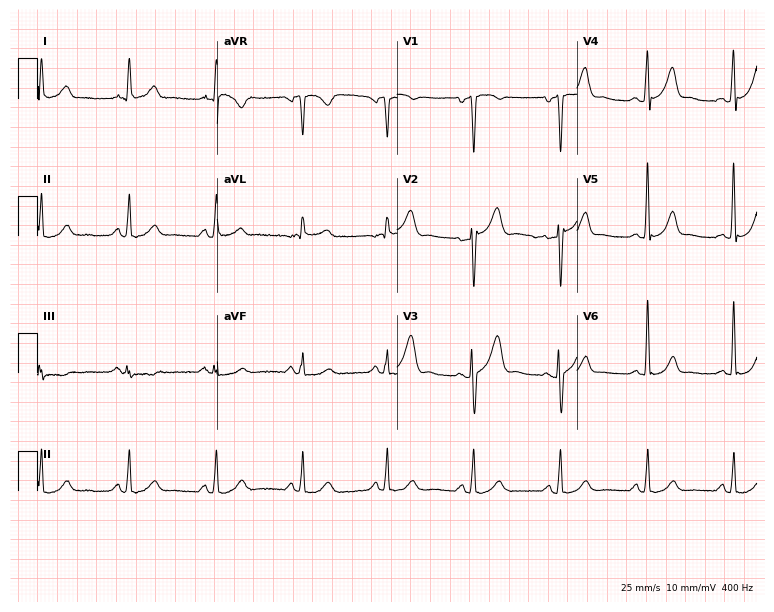
ECG — a 55-year-old male patient. Labelled as a normal ECG.